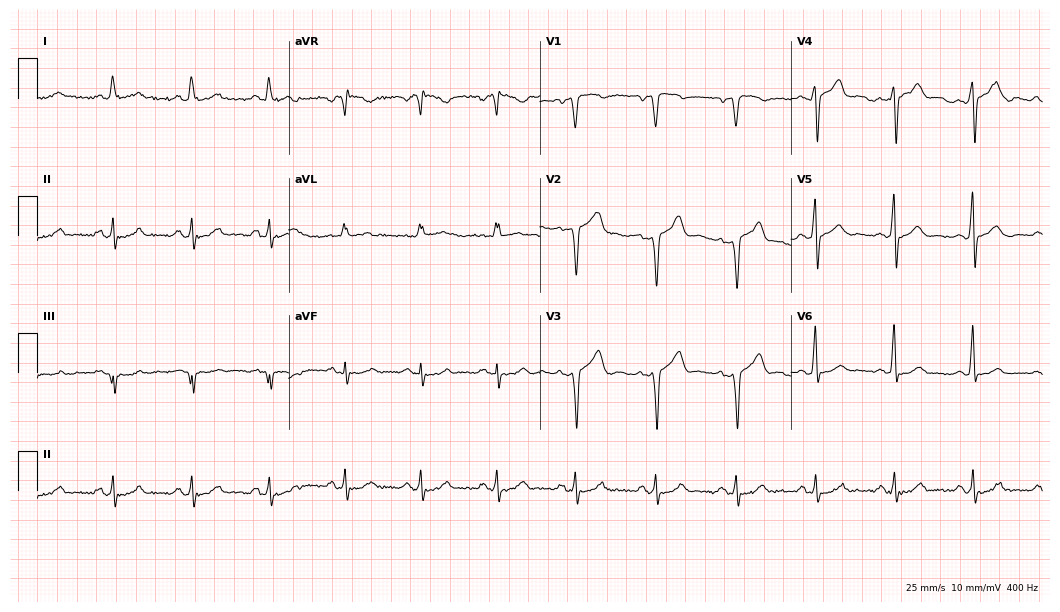
ECG — a 53-year-old male patient. Labelled as a normal ECG.